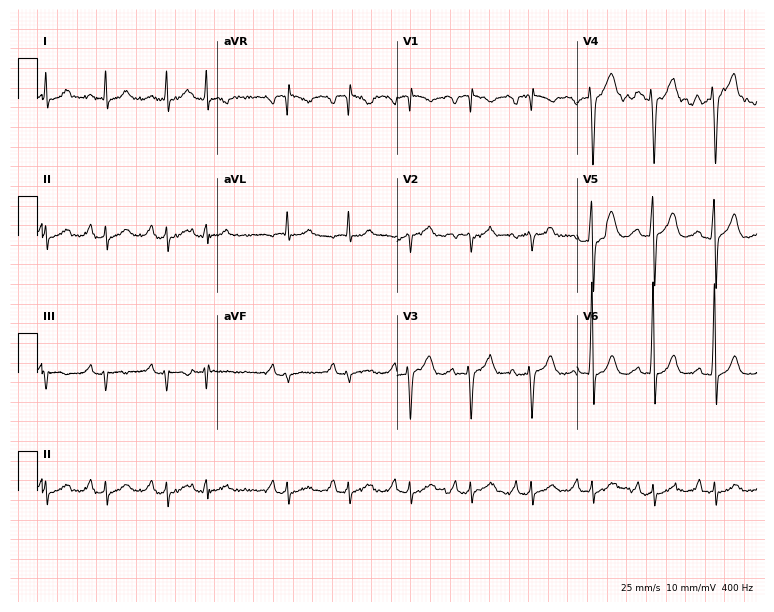
Resting 12-lead electrocardiogram (7.3-second recording at 400 Hz). Patient: a 61-year-old male. None of these six findings is recorded: first-degree AV block, right bundle branch block, left bundle branch block, sinus bradycardia, atrial fibrillation, sinus tachycardia. Only these six findings were labelled.